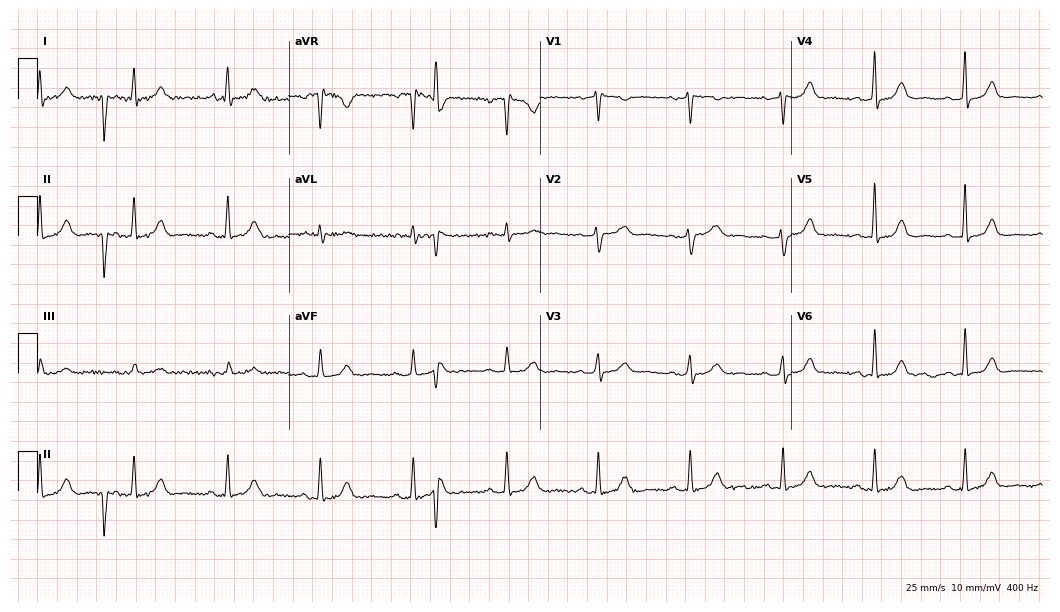
Standard 12-lead ECG recorded from a woman, 55 years old. Read as a normal ECG.